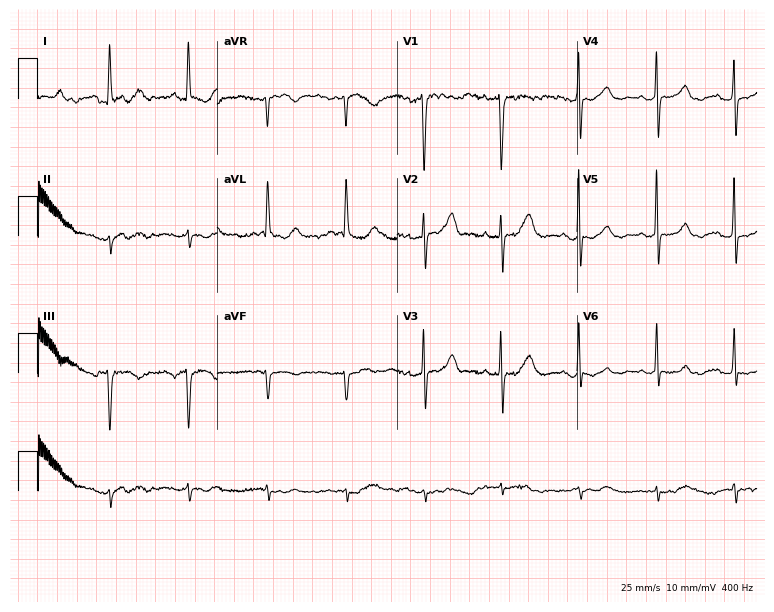
ECG — a female patient, 78 years old. Screened for six findings — first-degree AV block, right bundle branch block, left bundle branch block, sinus bradycardia, atrial fibrillation, sinus tachycardia — none is recorded.